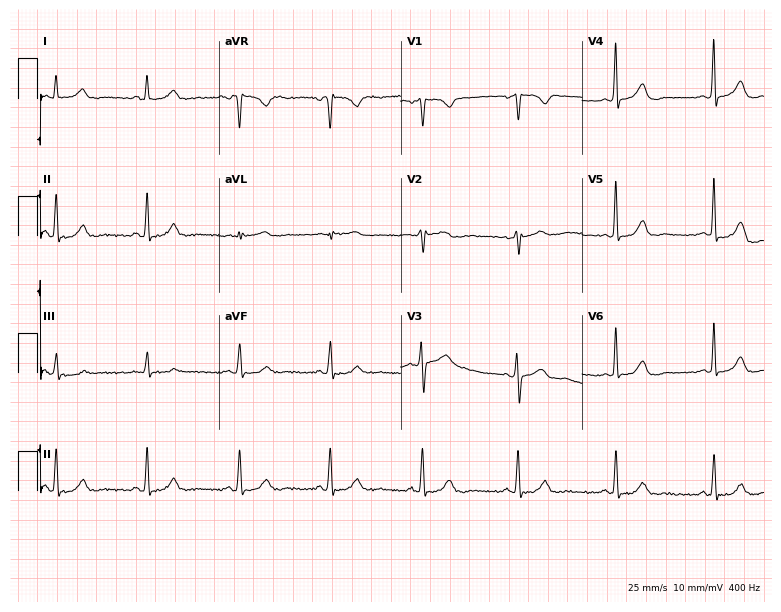
Resting 12-lead electrocardiogram (7.4-second recording at 400 Hz). Patient: a 54-year-old female. None of these six findings is recorded: first-degree AV block, right bundle branch block (RBBB), left bundle branch block (LBBB), sinus bradycardia, atrial fibrillation (AF), sinus tachycardia. Only these six findings were labelled.